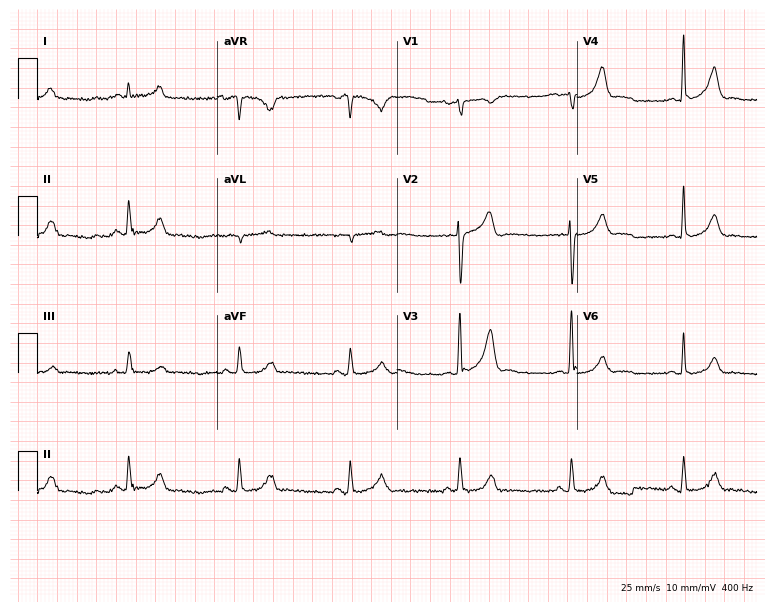
12-lead ECG (7.3-second recording at 400 Hz) from a male patient, 51 years old. Screened for six findings — first-degree AV block, right bundle branch block (RBBB), left bundle branch block (LBBB), sinus bradycardia, atrial fibrillation (AF), sinus tachycardia — none is recorded. Other findings, if any, are not listed.